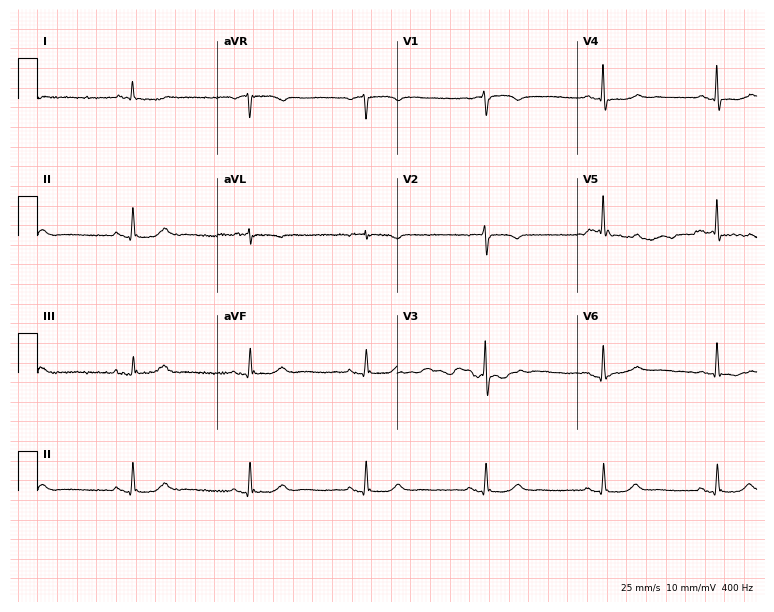
12-lead ECG (7.3-second recording at 400 Hz) from a woman, 68 years old. Screened for six findings — first-degree AV block, right bundle branch block, left bundle branch block, sinus bradycardia, atrial fibrillation, sinus tachycardia — none is recorded. Only these six findings were labelled.